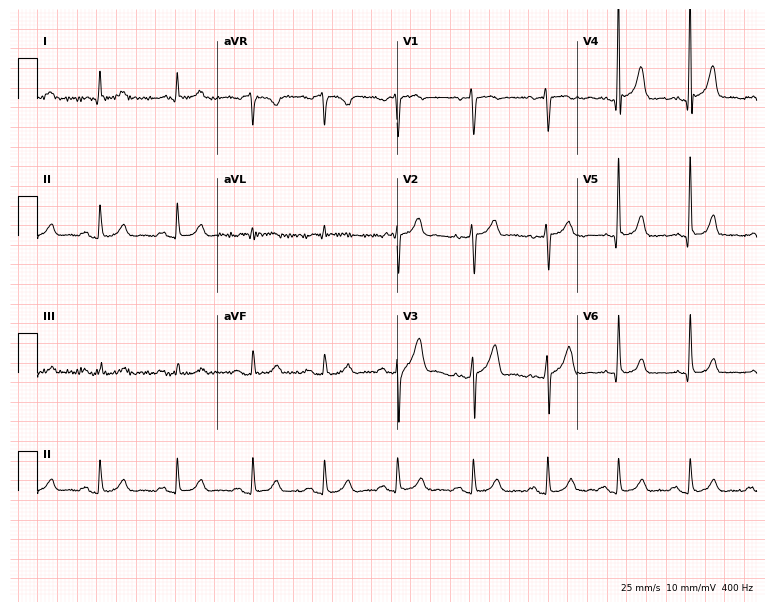
Electrocardiogram, a male patient, 64 years old. Overall reading on record: normal ECG.